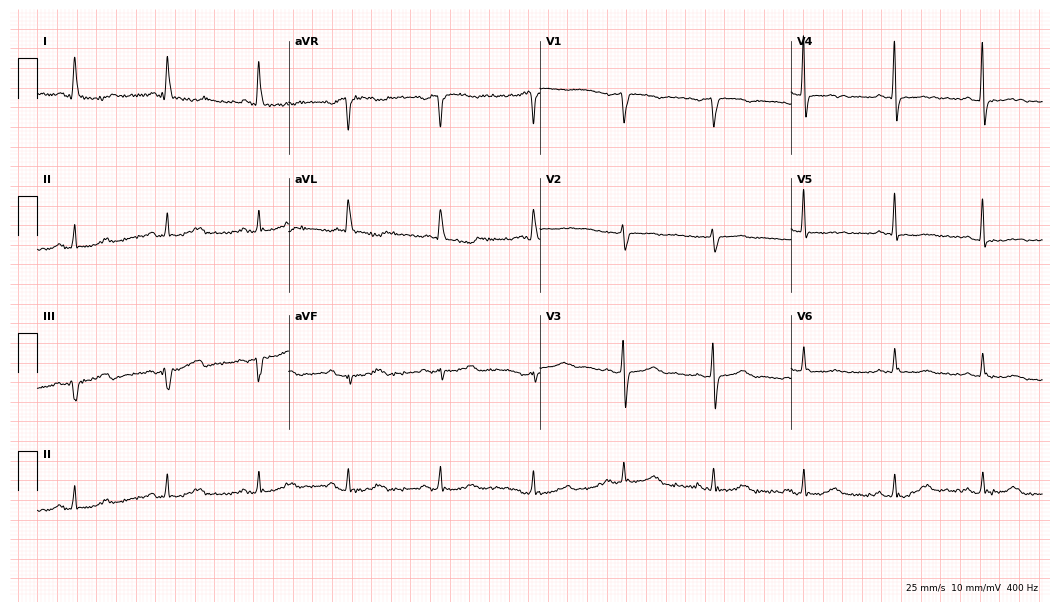
12-lead ECG from a woman, 63 years old. No first-degree AV block, right bundle branch block, left bundle branch block, sinus bradycardia, atrial fibrillation or sinus tachycardia recorded for this tracing.